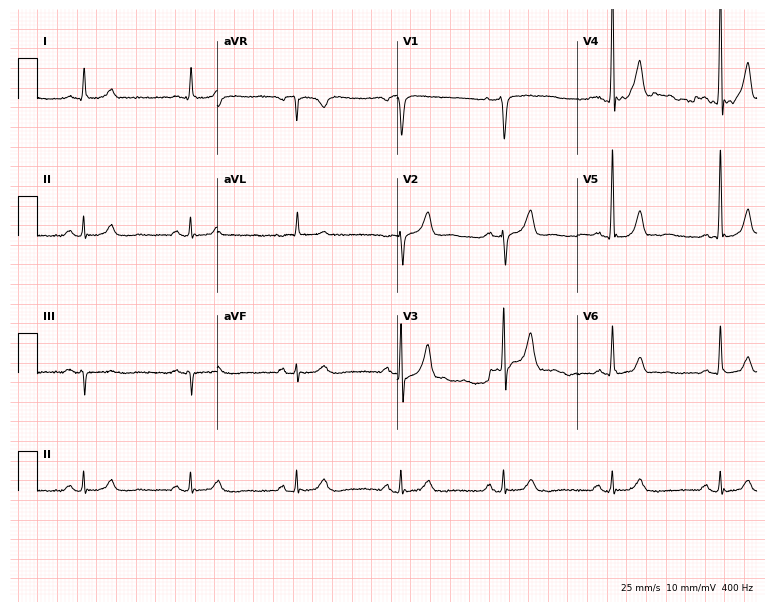
Standard 12-lead ECG recorded from a 67-year-old man. Read as a normal ECG.